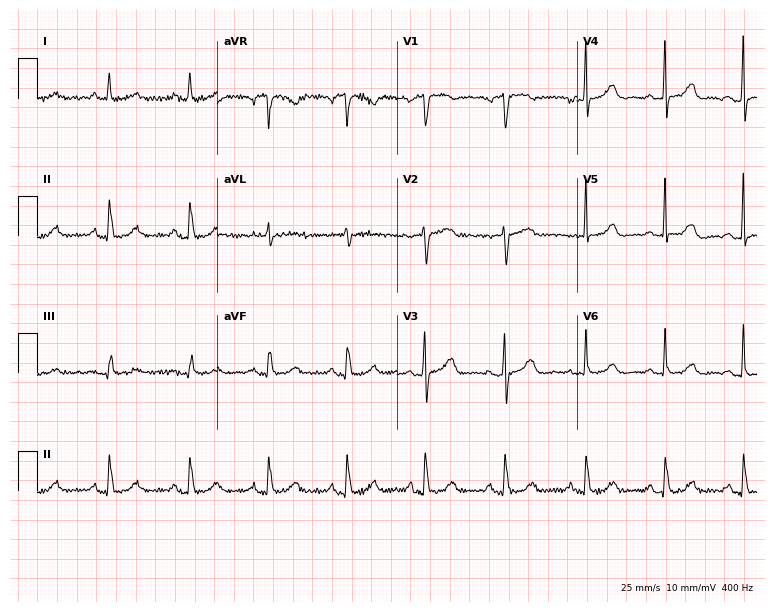
ECG — a 62-year-old female patient. Labelled as a normal ECG.